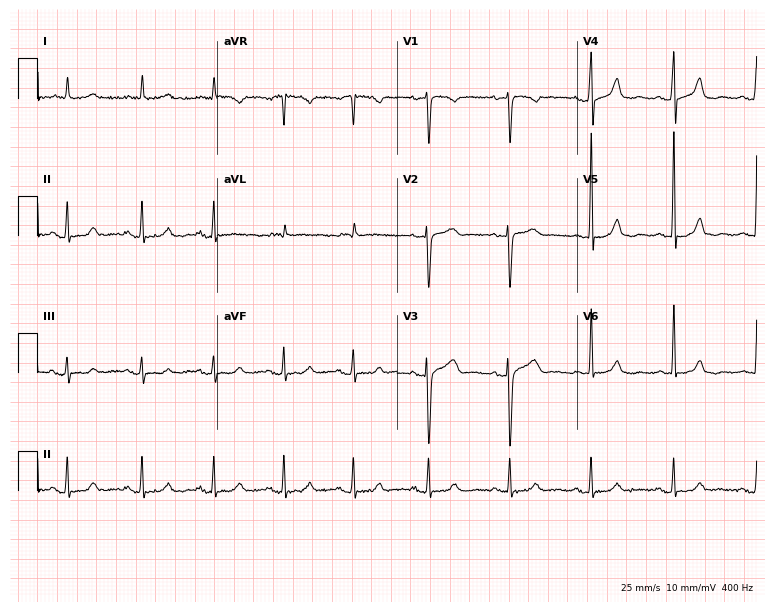
12-lead ECG from a 76-year-old woman. Labelled as a normal ECG.